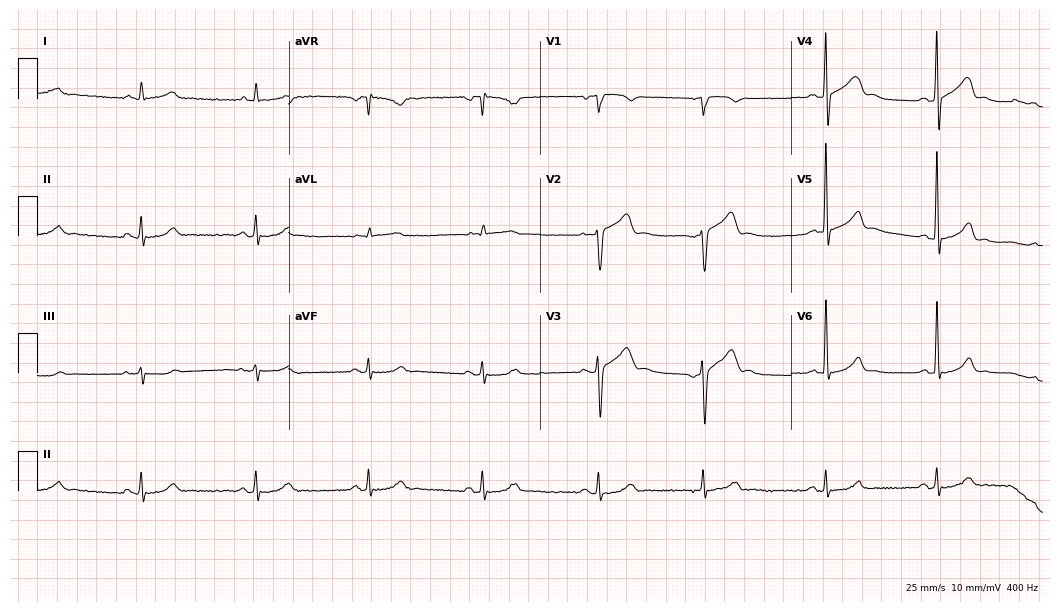
12-lead ECG from a male, 76 years old. Screened for six findings — first-degree AV block, right bundle branch block, left bundle branch block, sinus bradycardia, atrial fibrillation, sinus tachycardia — none is recorded. Only these six findings were labelled.